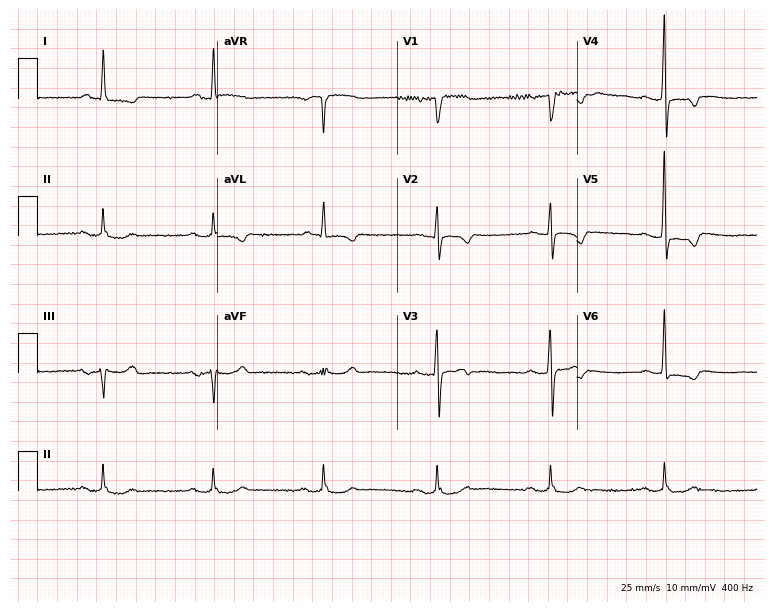
Electrocardiogram (7.3-second recording at 400 Hz), a male patient, 79 years old. Of the six screened findings (first-degree AV block, right bundle branch block, left bundle branch block, sinus bradycardia, atrial fibrillation, sinus tachycardia), none is recorded. Only these six findings were labelled.